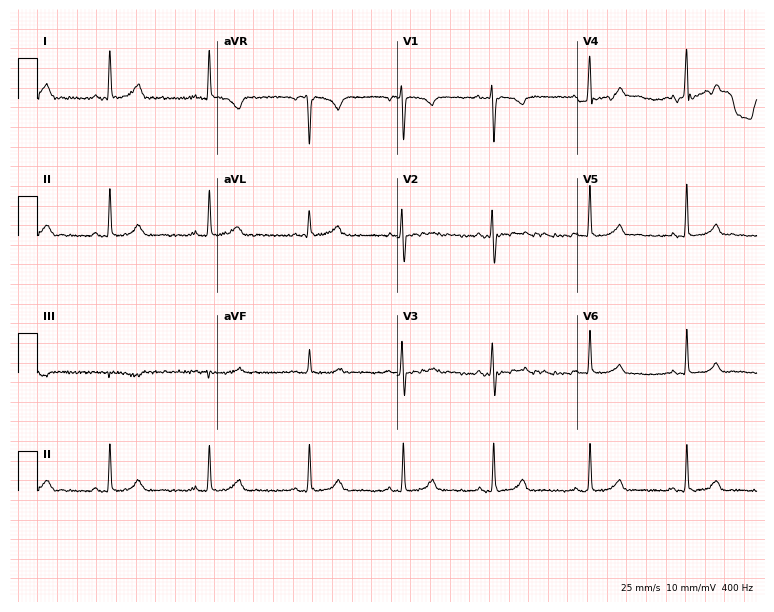
Electrocardiogram (7.3-second recording at 400 Hz), a woman, 33 years old. Overall reading on record: normal ECG.